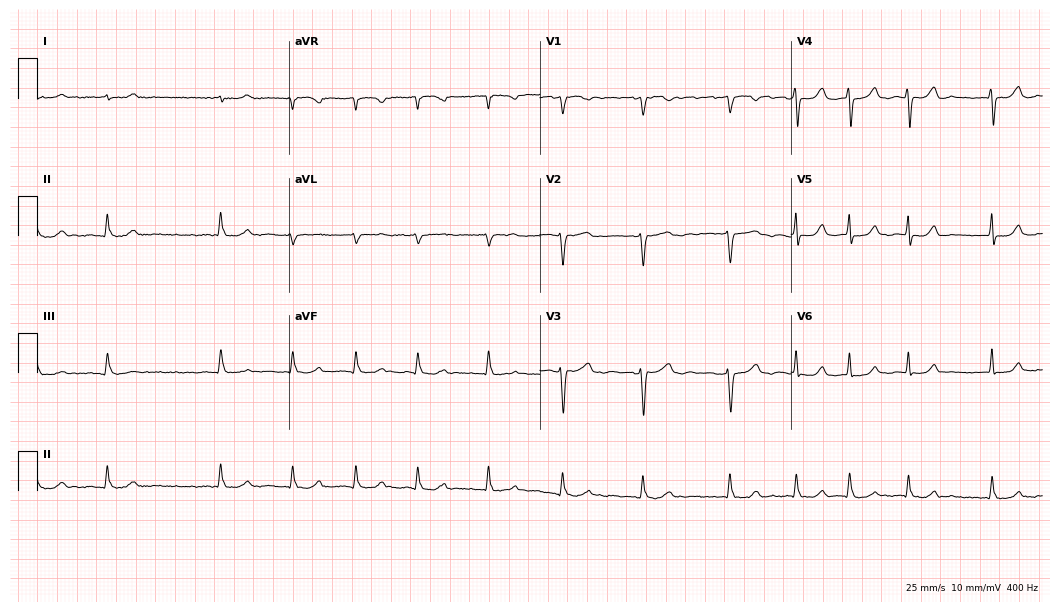
12-lead ECG from an 83-year-old female patient. Findings include atrial fibrillation (AF).